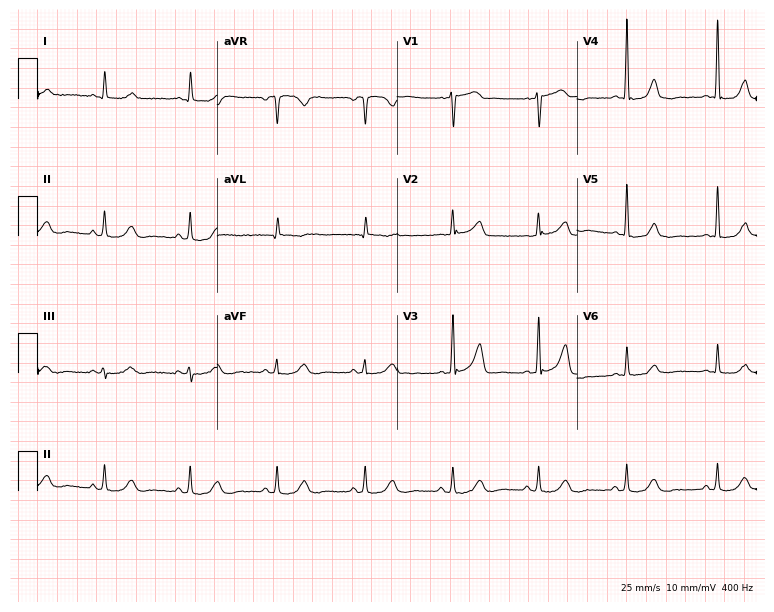
12-lead ECG (7.3-second recording at 400 Hz) from a 56-year-old woman. Screened for six findings — first-degree AV block, right bundle branch block (RBBB), left bundle branch block (LBBB), sinus bradycardia, atrial fibrillation (AF), sinus tachycardia — none is recorded. Only these six findings were labelled.